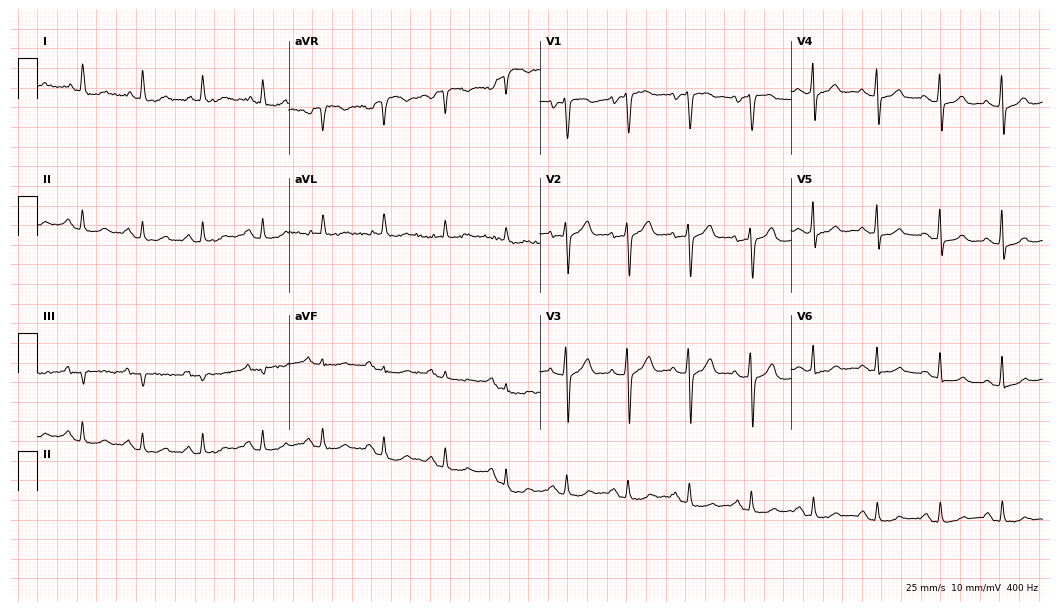
Resting 12-lead electrocardiogram. Patient: a man, 63 years old. Read as a normal ECG.